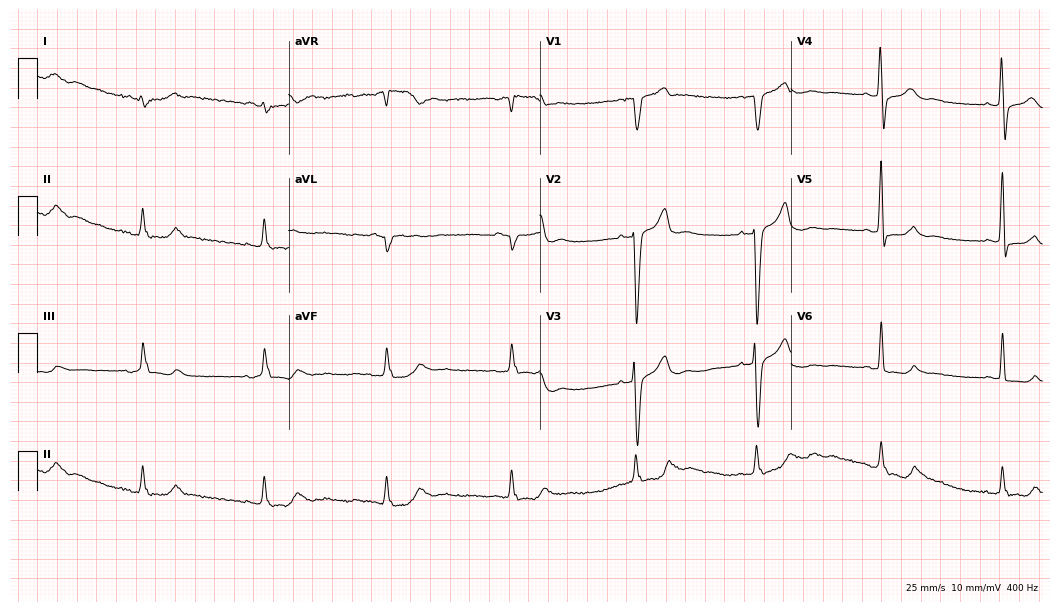
12-lead ECG from a 50-year-old male. Shows sinus bradycardia (a sinus rate of 50 beats per minute or less).